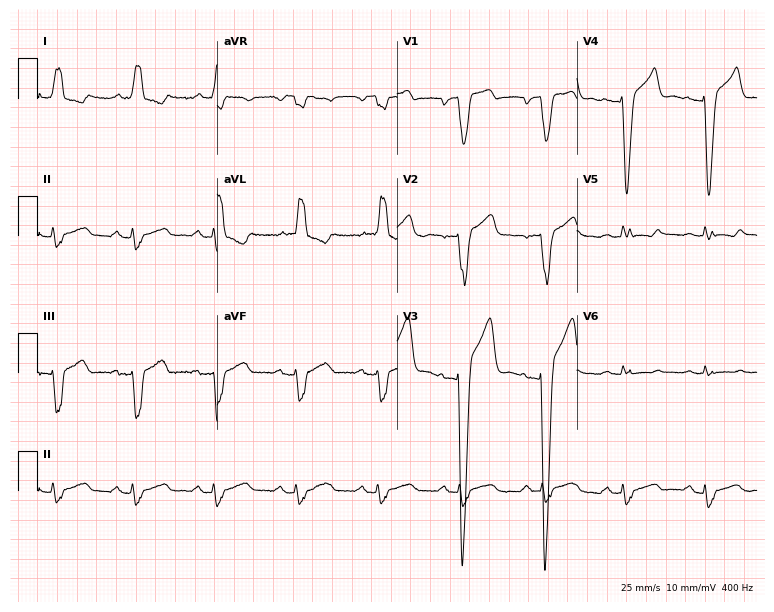
12-lead ECG (7.3-second recording at 400 Hz) from a 66-year-old male. Findings include left bundle branch block.